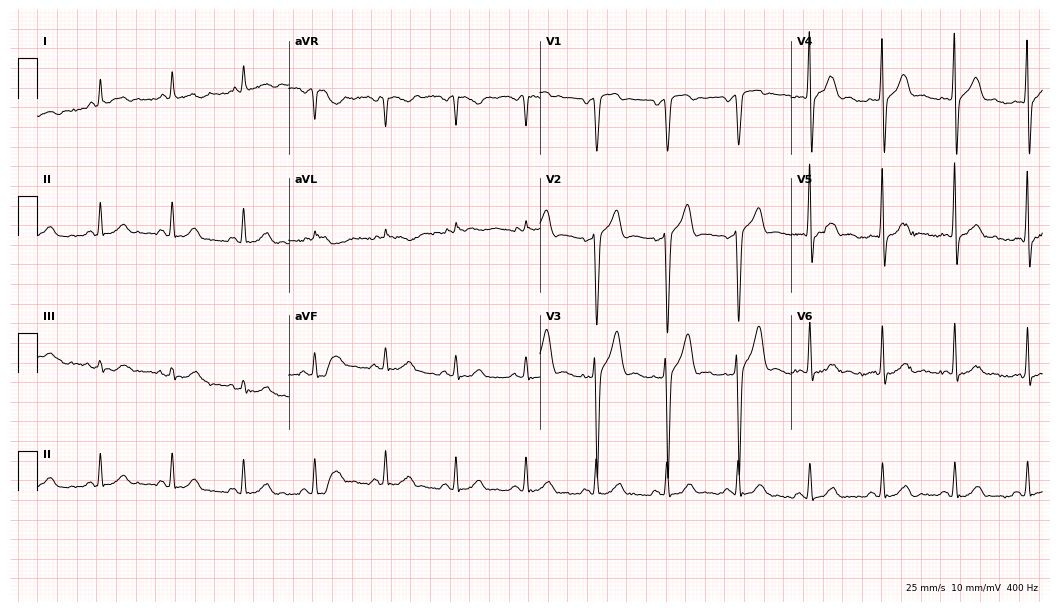
ECG — a 42-year-old man. Labelled as a normal ECG.